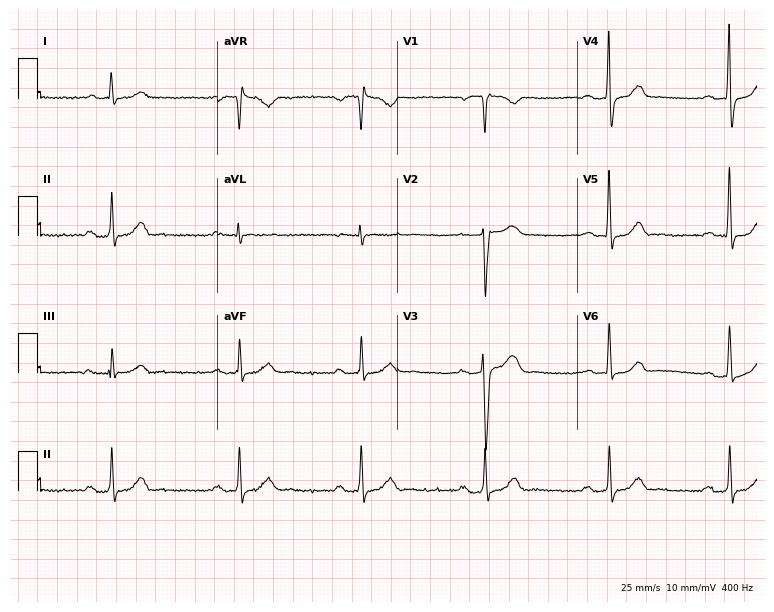
Standard 12-lead ECG recorded from a 55-year-old man. Read as a normal ECG.